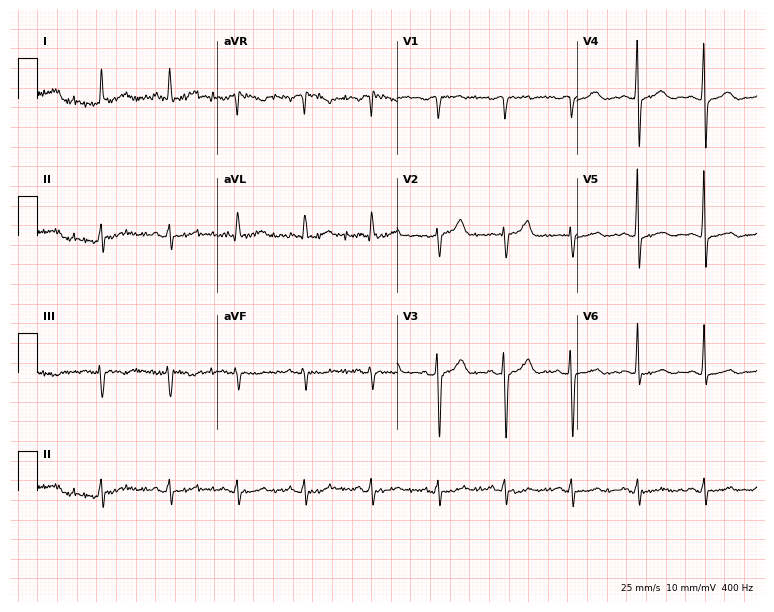
Electrocardiogram, a male, 62 years old. Of the six screened findings (first-degree AV block, right bundle branch block, left bundle branch block, sinus bradycardia, atrial fibrillation, sinus tachycardia), none is recorded. Findings outside these six are not listed.